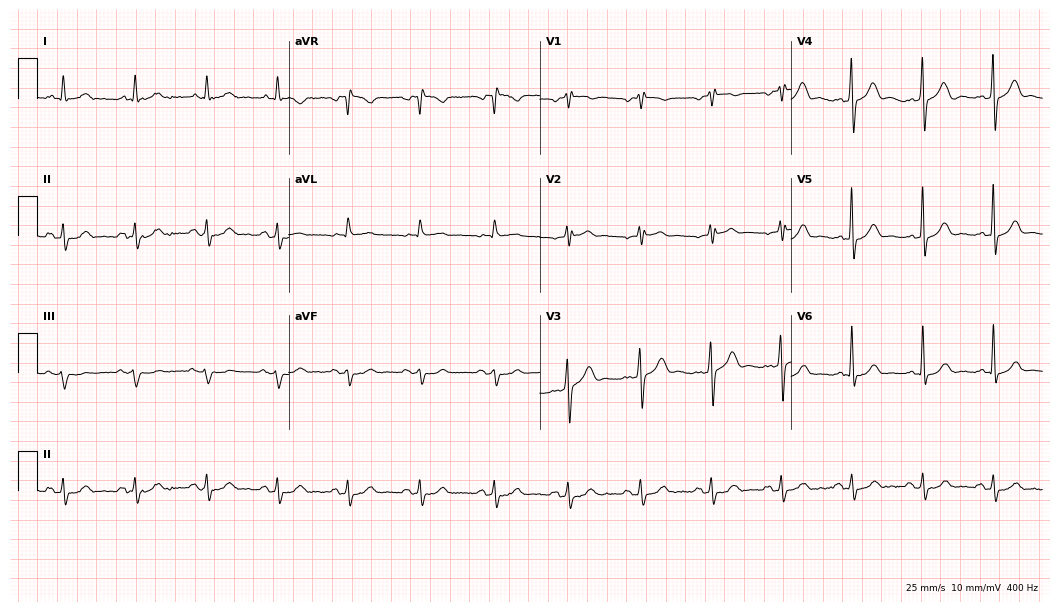
Standard 12-lead ECG recorded from a male patient, 60 years old. None of these six findings is recorded: first-degree AV block, right bundle branch block, left bundle branch block, sinus bradycardia, atrial fibrillation, sinus tachycardia.